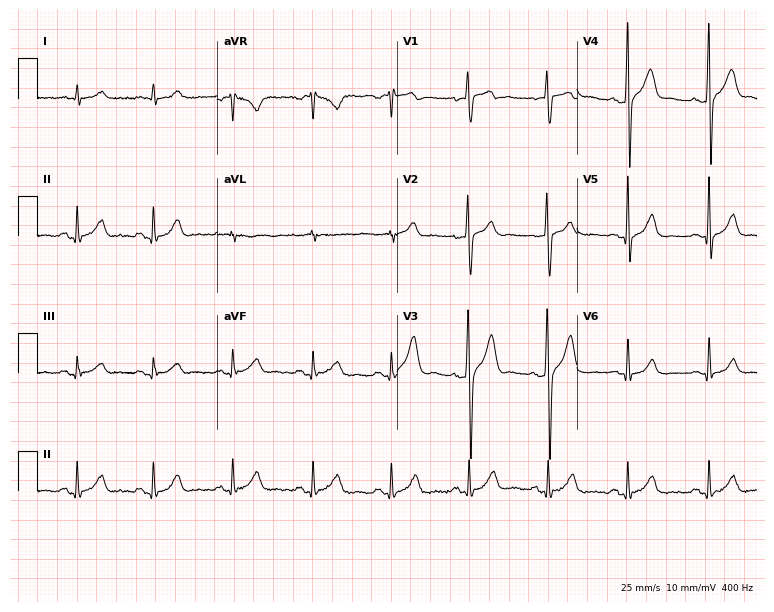
Resting 12-lead electrocardiogram (7.3-second recording at 400 Hz). Patient: a male, 24 years old. Read as a normal ECG.